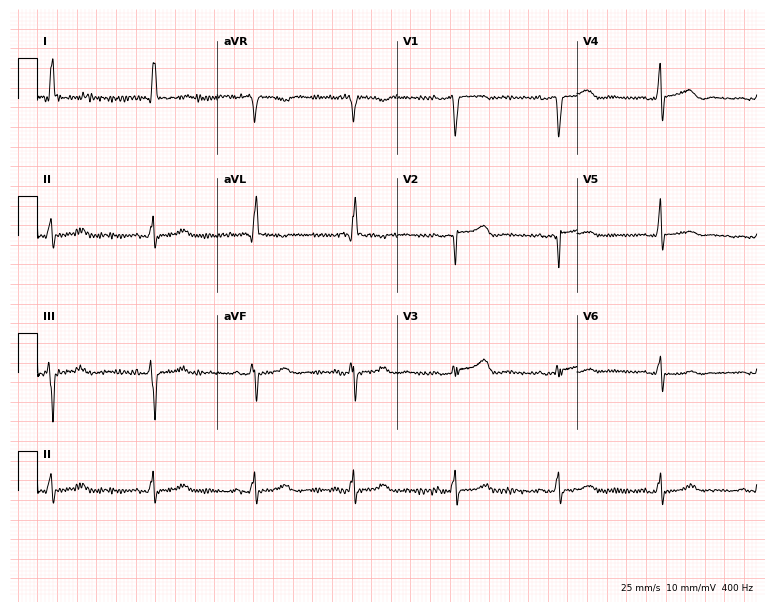
Standard 12-lead ECG recorded from a female patient, 75 years old. None of these six findings is recorded: first-degree AV block, right bundle branch block, left bundle branch block, sinus bradycardia, atrial fibrillation, sinus tachycardia.